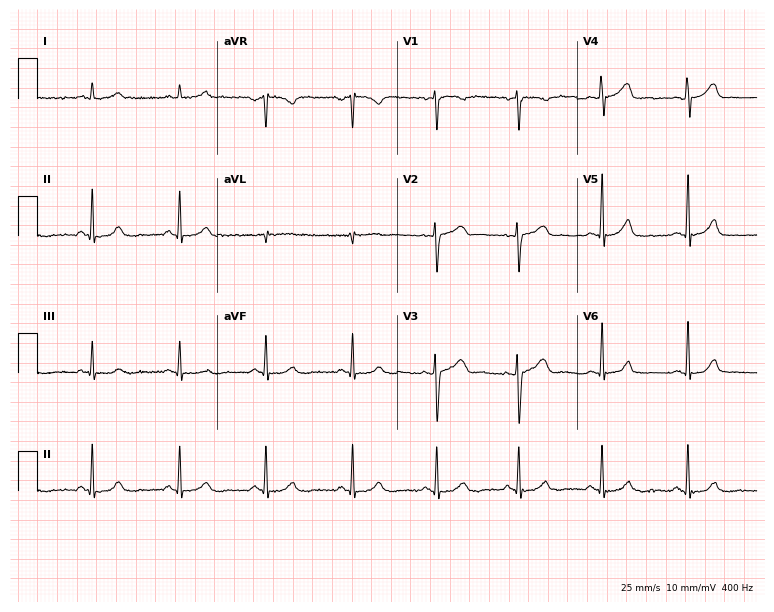
Electrocardiogram (7.3-second recording at 400 Hz), a 28-year-old female. Of the six screened findings (first-degree AV block, right bundle branch block, left bundle branch block, sinus bradycardia, atrial fibrillation, sinus tachycardia), none is recorded. Only these six findings were labelled.